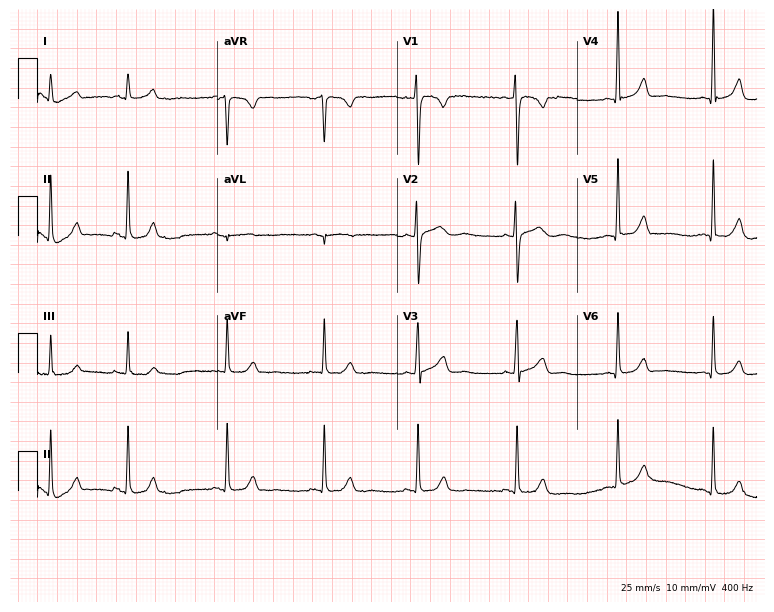
Resting 12-lead electrocardiogram (7.3-second recording at 400 Hz). Patient: a female, 19 years old. None of these six findings is recorded: first-degree AV block, right bundle branch block, left bundle branch block, sinus bradycardia, atrial fibrillation, sinus tachycardia.